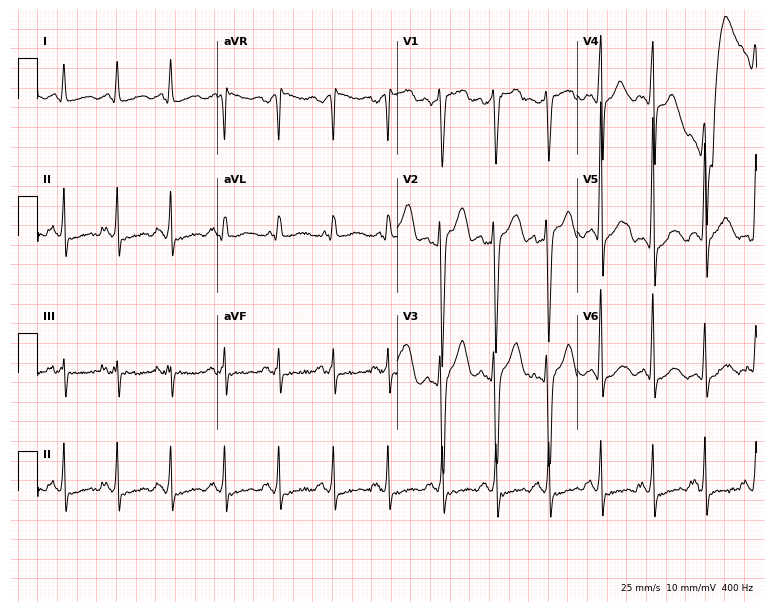
Electrocardiogram, a man, 33 years old. Interpretation includes sinus tachycardia (a sinus rate of 100 beats per minute or more).